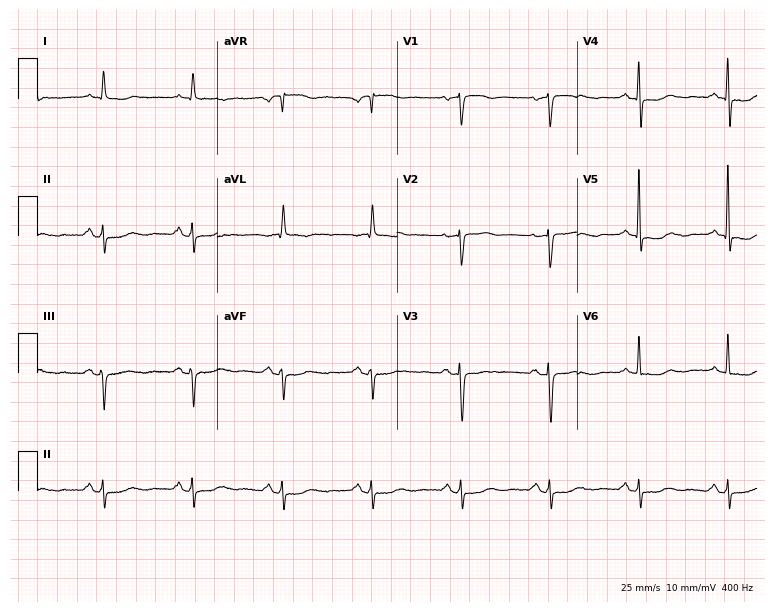
Electrocardiogram (7.3-second recording at 400 Hz), a 66-year-old female patient. Of the six screened findings (first-degree AV block, right bundle branch block (RBBB), left bundle branch block (LBBB), sinus bradycardia, atrial fibrillation (AF), sinus tachycardia), none is recorded. Other findings, if any, are not listed.